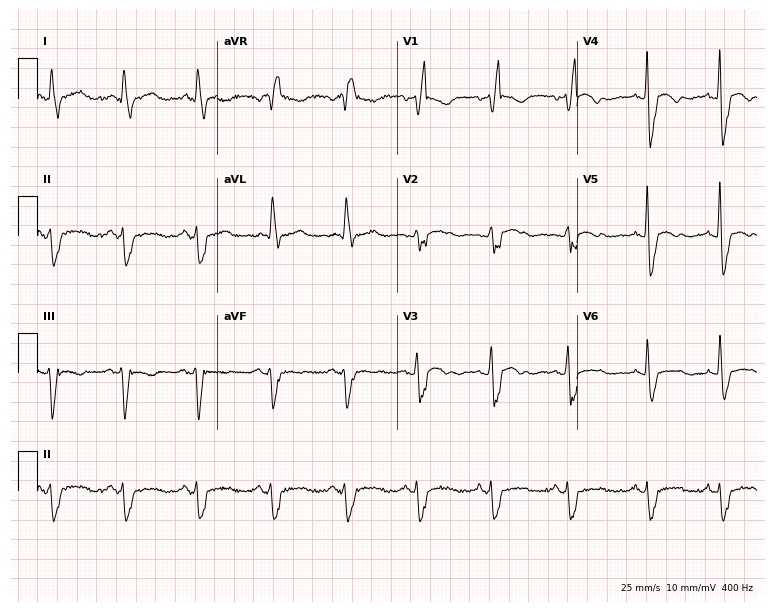
Electrocardiogram (7.3-second recording at 400 Hz), a 67-year-old female. Of the six screened findings (first-degree AV block, right bundle branch block, left bundle branch block, sinus bradycardia, atrial fibrillation, sinus tachycardia), none is recorded.